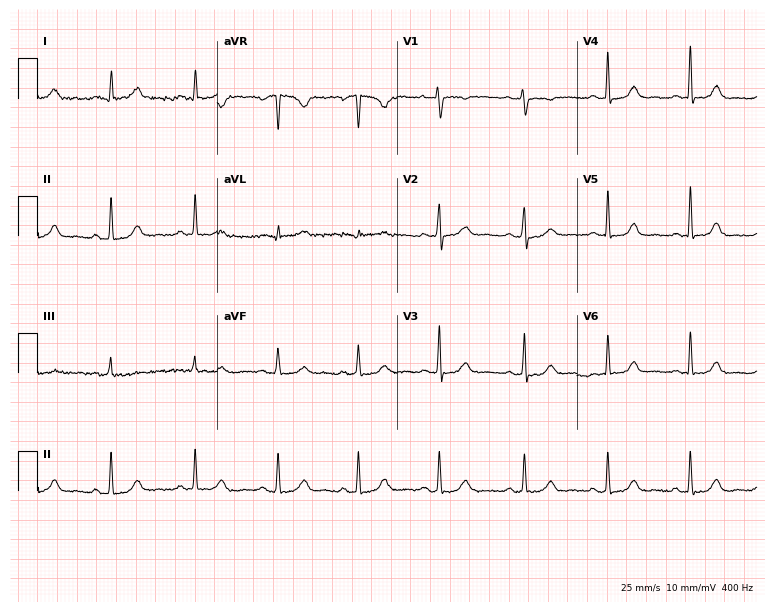
12-lead ECG from a female patient, 35 years old. No first-degree AV block, right bundle branch block, left bundle branch block, sinus bradycardia, atrial fibrillation or sinus tachycardia recorded for this tracing.